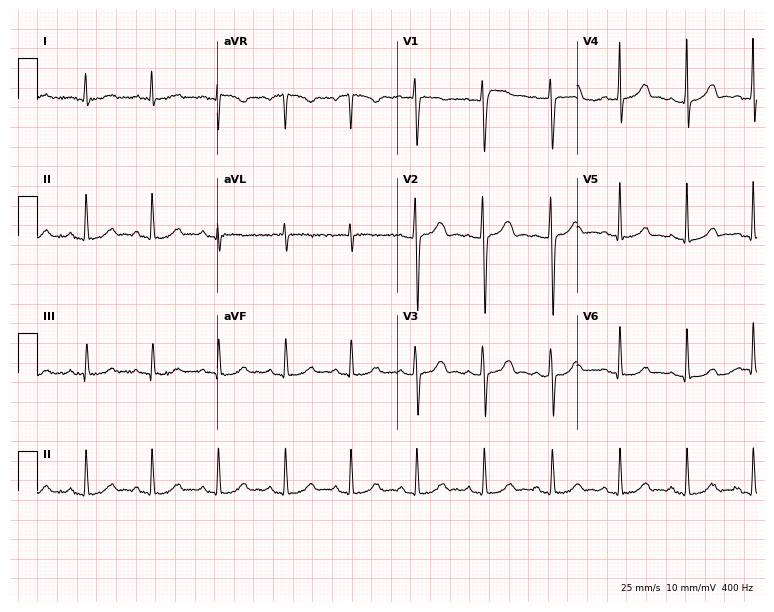
Electrocardiogram (7.3-second recording at 400 Hz), a female, 25 years old. Of the six screened findings (first-degree AV block, right bundle branch block (RBBB), left bundle branch block (LBBB), sinus bradycardia, atrial fibrillation (AF), sinus tachycardia), none is recorded.